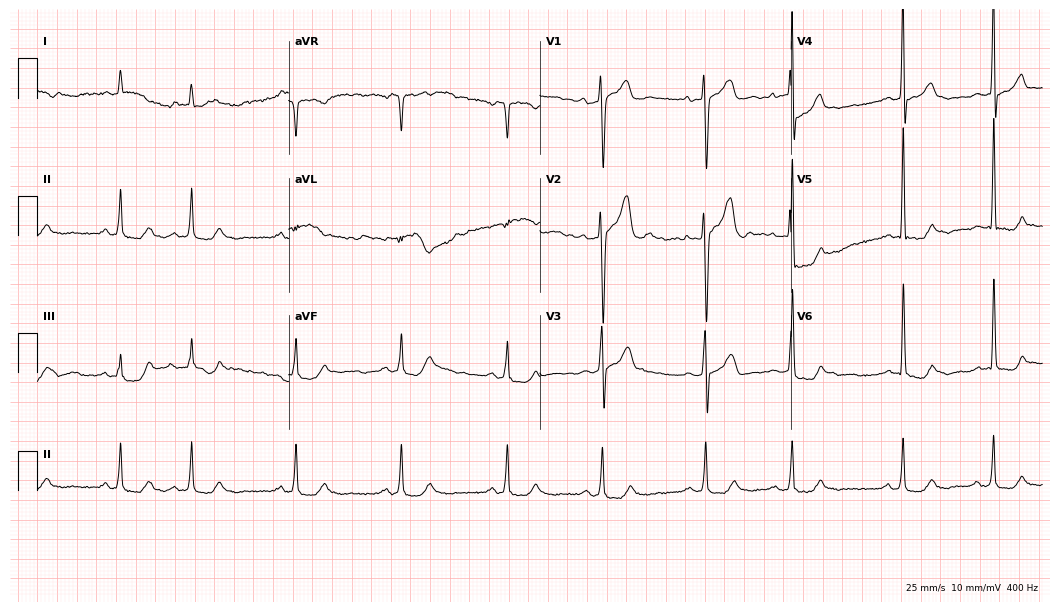
ECG — a 62-year-old man. Screened for six findings — first-degree AV block, right bundle branch block (RBBB), left bundle branch block (LBBB), sinus bradycardia, atrial fibrillation (AF), sinus tachycardia — none is recorded.